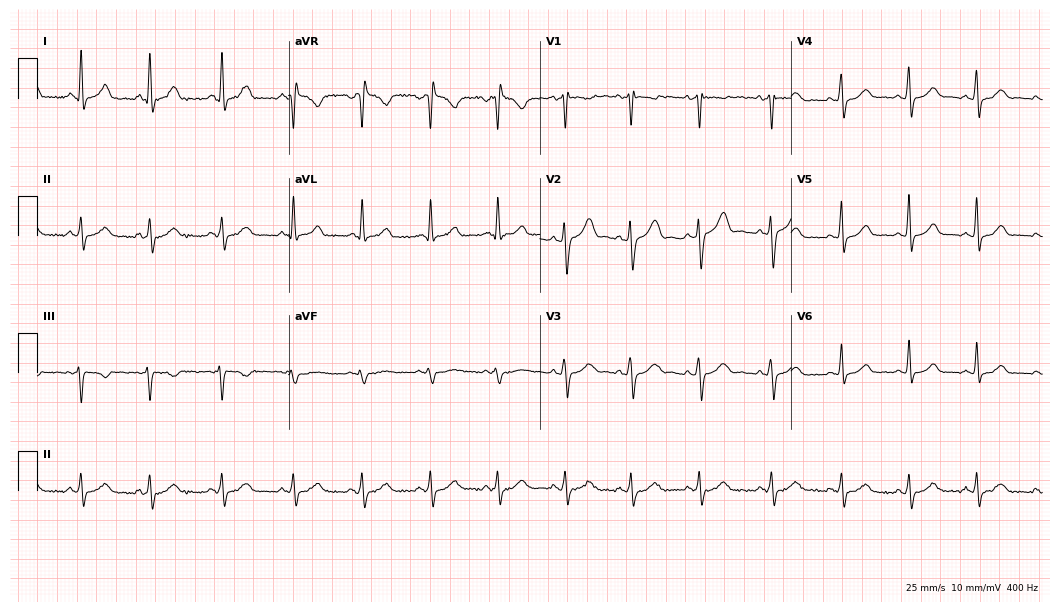
ECG (10.2-second recording at 400 Hz) — a 20-year-old woman. Labelled as a normal ECG.